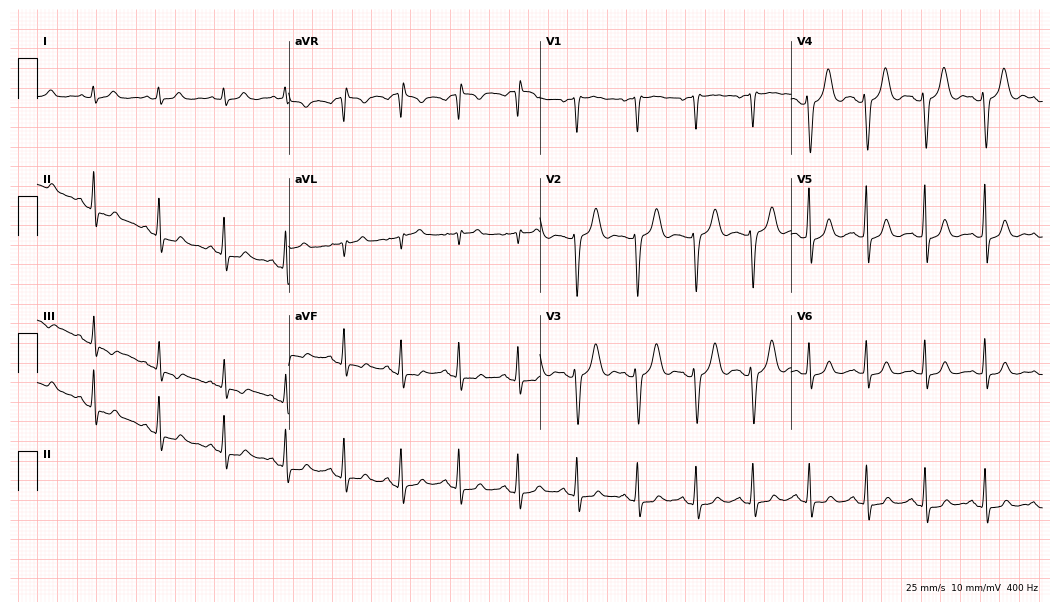
ECG — a woman, 42 years old. Screened for six findings — first-degree AV block, right bundle branch block (RBBB), left bundle branch block (LBBB), sinus bradycardia, atrial fibrillation (AF), sinus tachycardia — none is recorded.